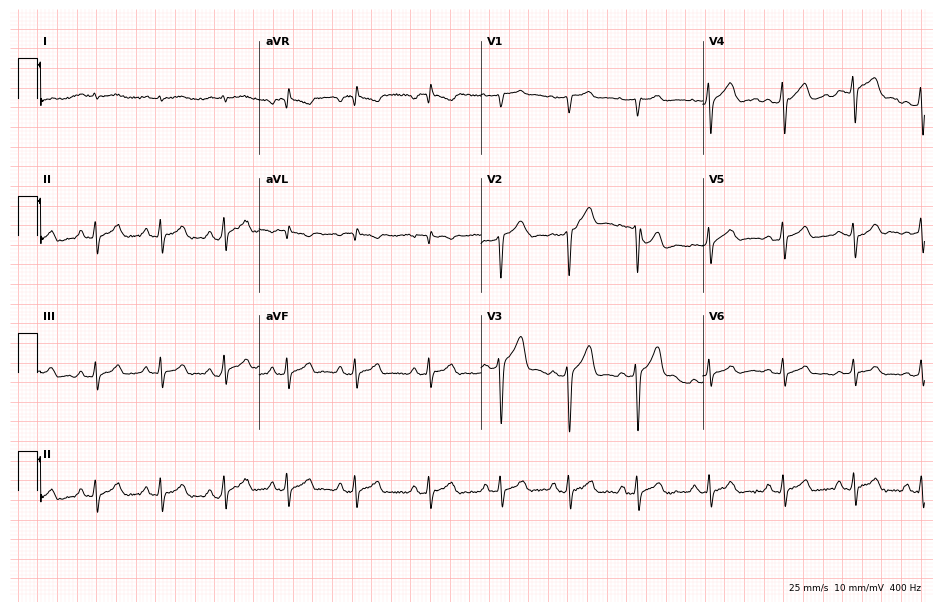
Resting 12-lead electrocardiogram (9-second recording at 400 Hz). Patient: a 36-year-old male. Read as a normal ECG.